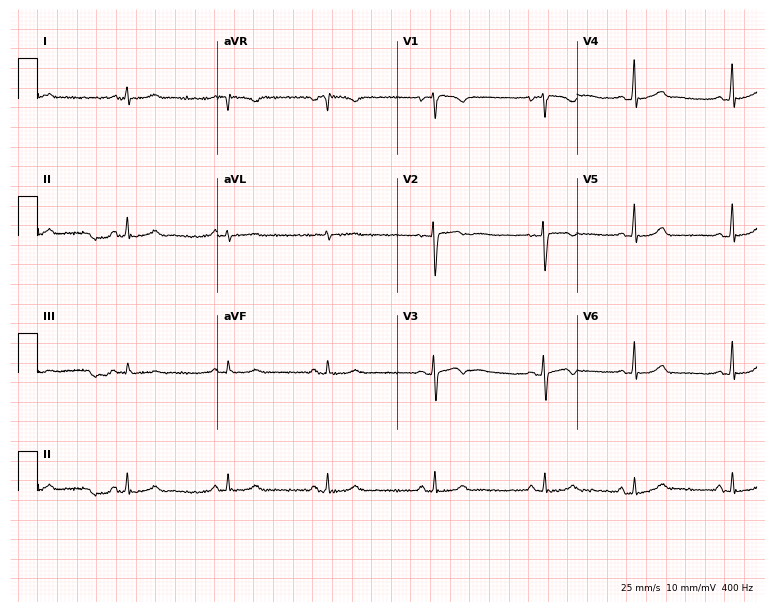
Standard 12-lead ECG recorded from an 18-year-old female. Read as a normal ECG.